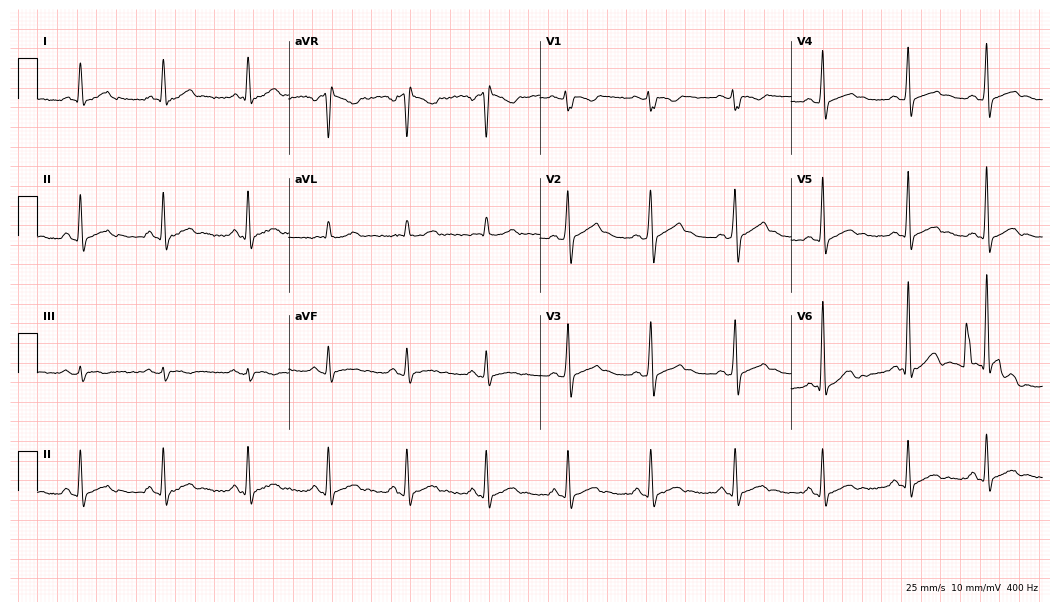
12-lead ECG (10.2-second recording at 400 Hz) from a 29-year-old man. Screened for six findings — first-degree AV block, right bundle branch block (RBBB), left bundle branch block (LBBB), sinus bradycardia, atrial fibrillation (AF), sinus tachycardia — none is recorded. Only these six findings were labelled.